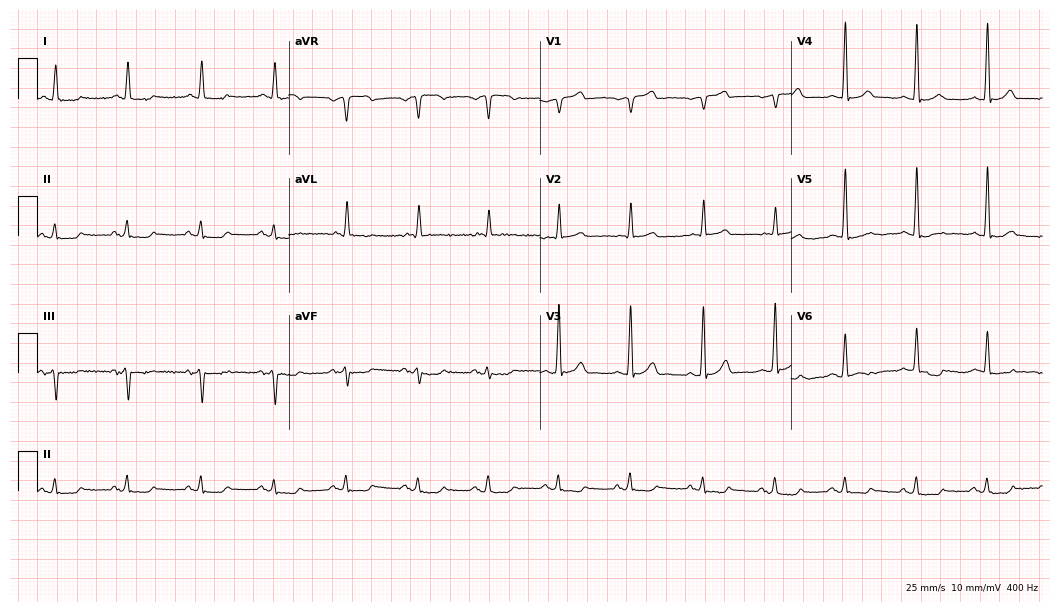
Resting 12-lead electrocardiogram (10.2-second recording at 400 Hz). Patient: a man, 82 years old. None of these six findings is recorded: first-degree AV block, right bundle branch block, left bundle branch block, sinus bradycardia, atrial fibrillation, sinus tachycardia. Only these six findings were labelled.